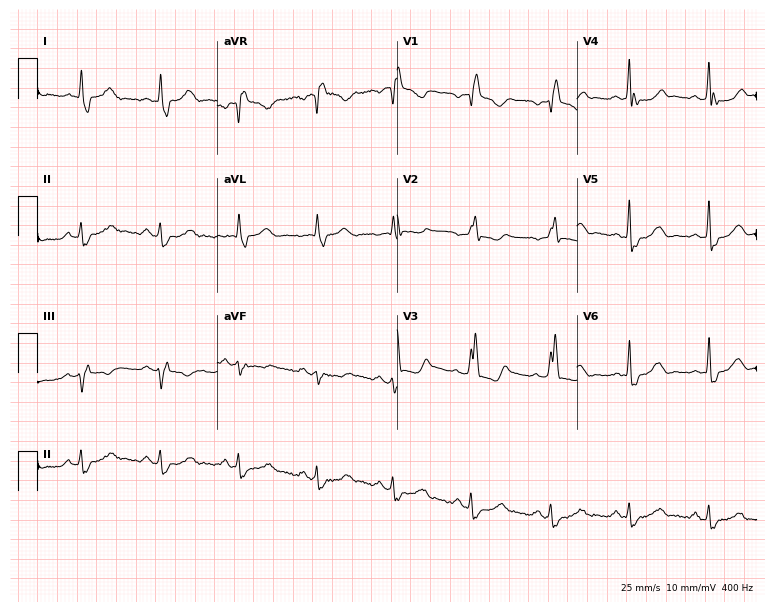
Resting 12-lead electrocardiogram (7.3-second recording at 400 Hz). Patient: a 70-year-old male. The tracing shows right bundle branch block (RBBB).